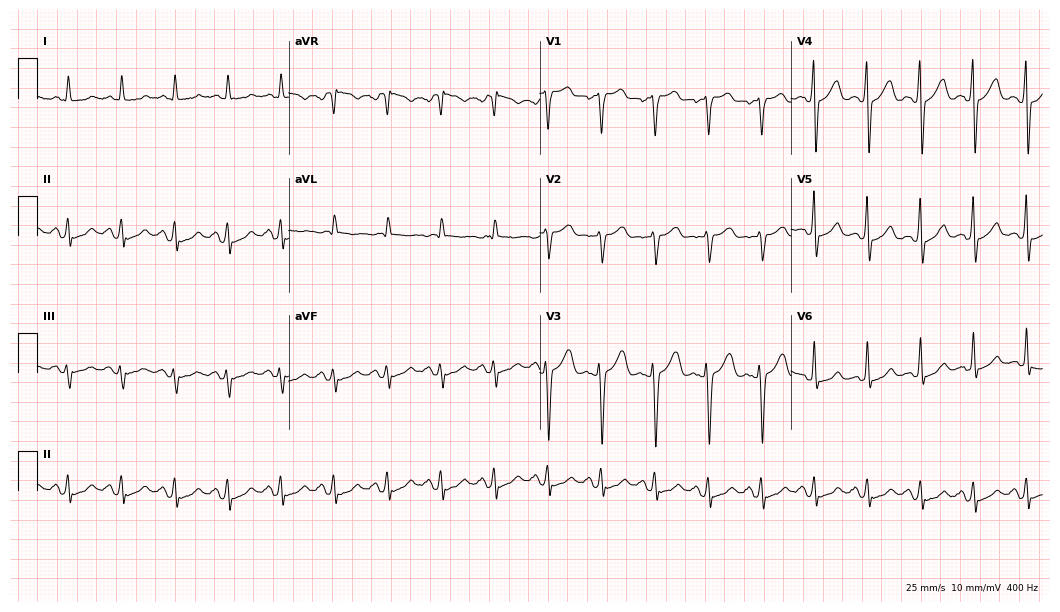
12-lead ECG from a male, 64 years old. No first-degree AV block, right bundle branch block, left bundle branch block, sinus bradycardia, atrial fibrillation or sinus tachycardia recorded for this tracing.